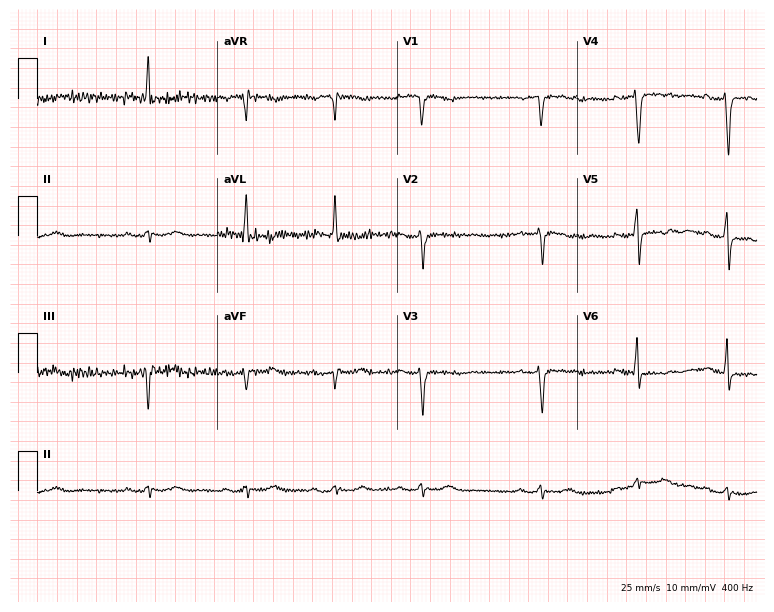
ECG (7.3-second recording at 400 Hz) — a 71-year-old female patient. Screened for six findings — first-degree AV block, right bundle branch block, left bundle branch block, sinus bradycardia, atrial fibrillation, sinus tachycardia — none is recorded. Only these six findings were labelled.